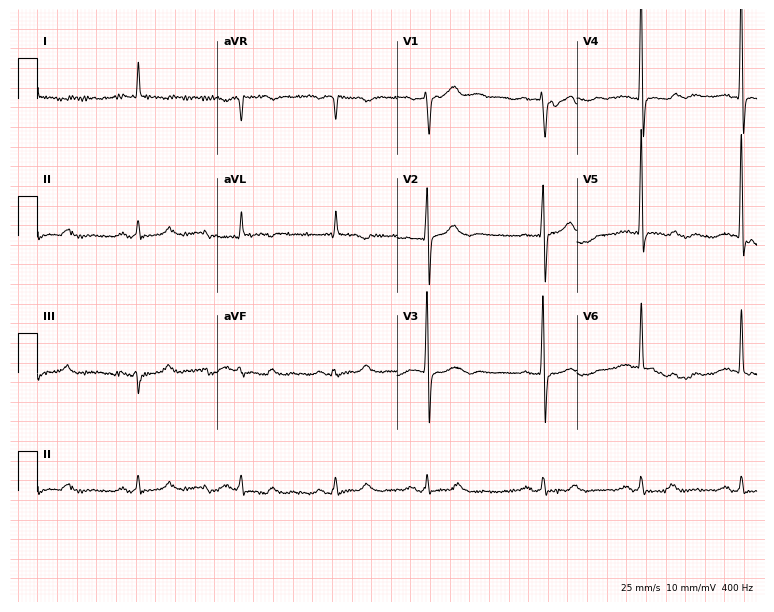
12-lead ECG (7.3-second recording at 400 Hz) from a female patient, 85 years old. Screened for six findings — first-degree AV block, right bundle branch block, left bundle branch block, sinus bradycardia, atrial fibrillation, sinus tachycardia — none is recorded.